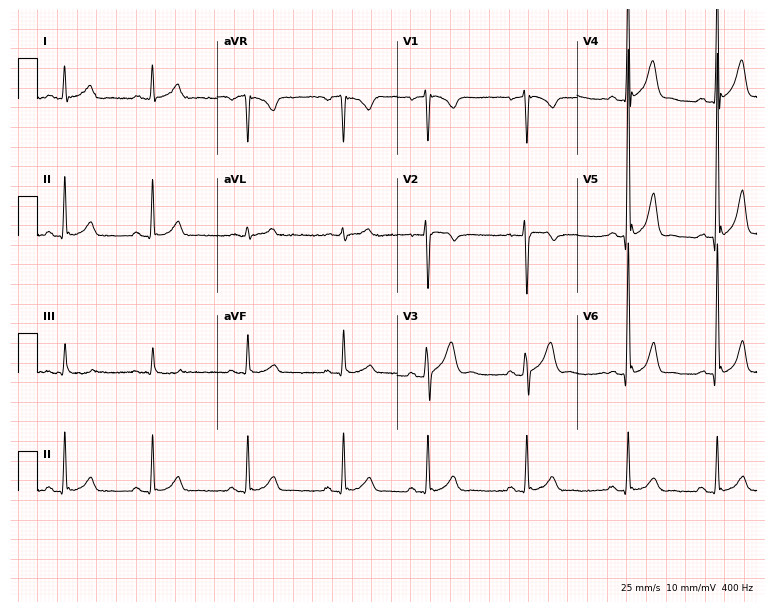
12-lead ECG from a 27-year-old male patient. No first-degree AV block, right bundle branch block, left bundle branch block, sinus bradycardia, atrial fibrillation or sinus tachycardia recorded for this tracing. Findings outside these six are not listed.